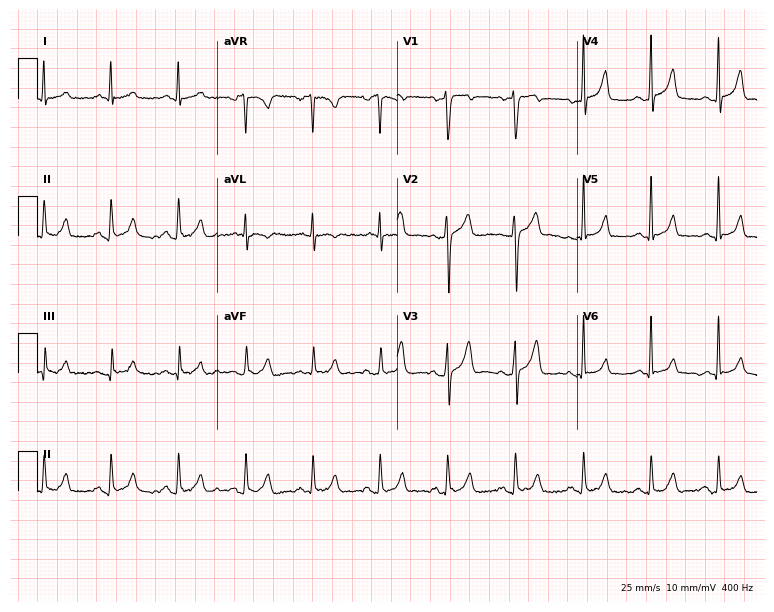
ECG (7.3-second recording at 400 Hz) — a 49-year-old man. Labelled as a normal ECG.